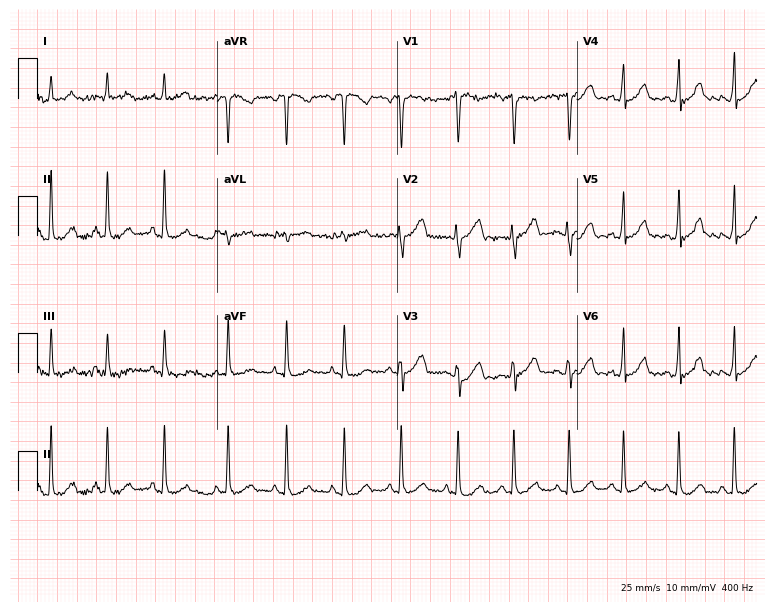
Resting 12-lead electrocardiogram. Patient: a woman, 36 years old. Read as a normal ECG.